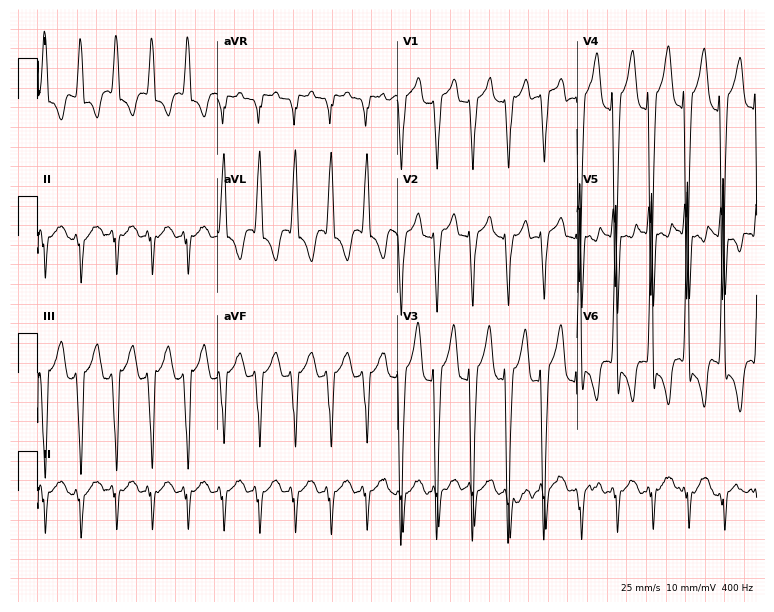
Standard 12-lead ECG recorded from a man, 60 years old. The tracing shows sinus tachycardia (a sinus rate of 100 beats per minute or more).